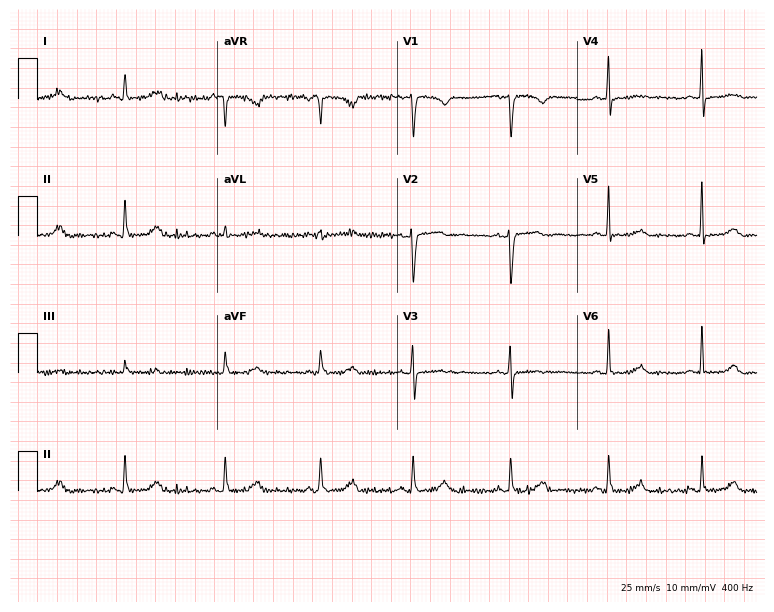
Standard 12-lead ECG recorded from a 30-year-old female (7.3-second recording at 400 Hz). None of these six findings is recorded: first-degree AV block, right bundle branch block, left bundle branch block, sinus bradycardia, atrial fibrillation, sinus tachycardia. Only these six findings were labelled.